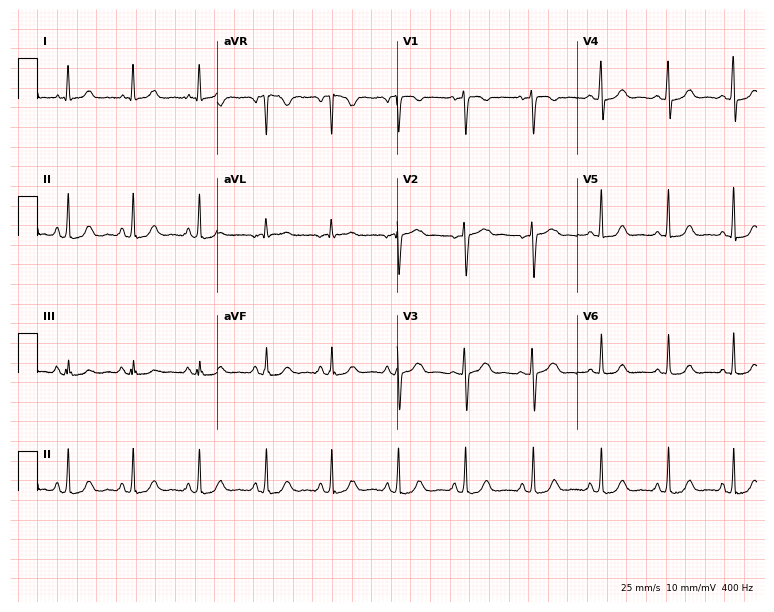
Standard 12-lead ECG recorded from a 54-year-old woman. Read as a normal ECG.